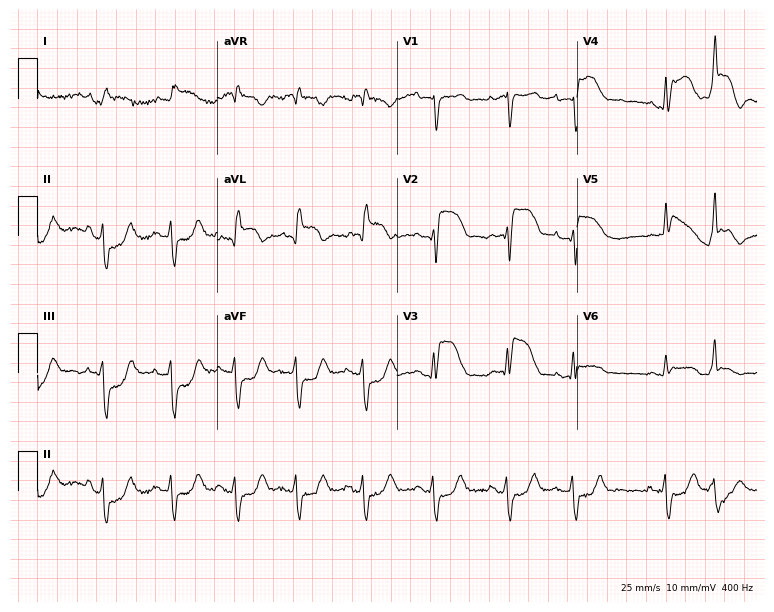
12-lead ECG from a 77-year-old male (7.3-second recording at 400 Hz). No first-degree AV block, right bundle branch block (RBBB), left bundle branch block (LBBB), sinus bradycardia, atrial fibrillation (AF) or sinus tachycardia recorded for this tracing.